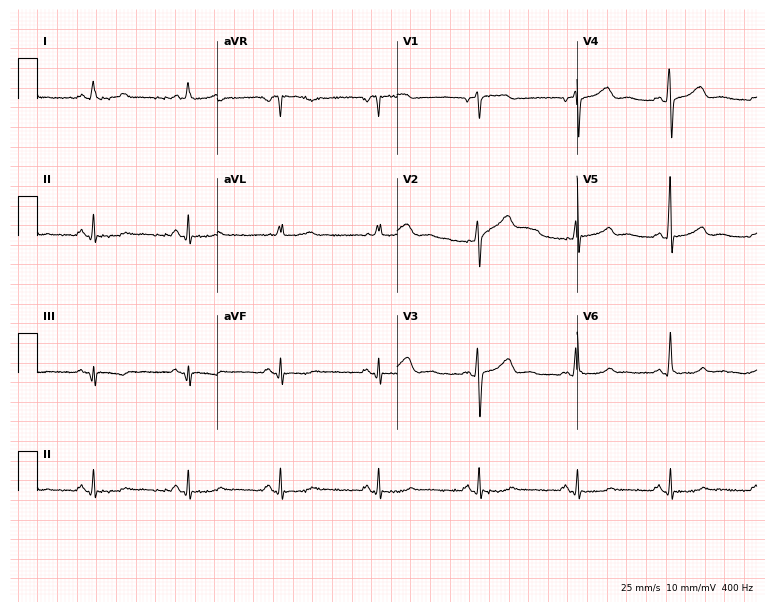
Electrocardiogram, a 56-year-old female. Of the six screened findings (first-degree AV block, right bundle branch block (RBBB), left bundle branch block (LBBB), sinus bradycardia, atrial fibrillation (AF), sinus tachycardia), none is recorded. Only these six findings were labelled.